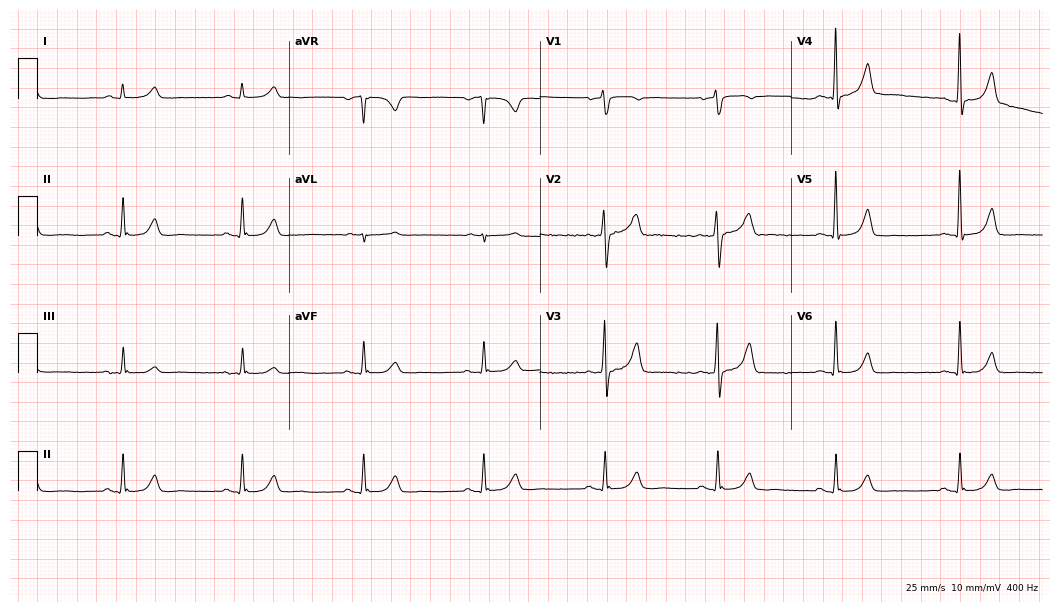
Standard 12-lead ECG recorded from a 65-year-old man (10.2-second recording at 400 Hz). The tracing shows sinus bradycardia (a sinus rate of 50 beats per minute or less).